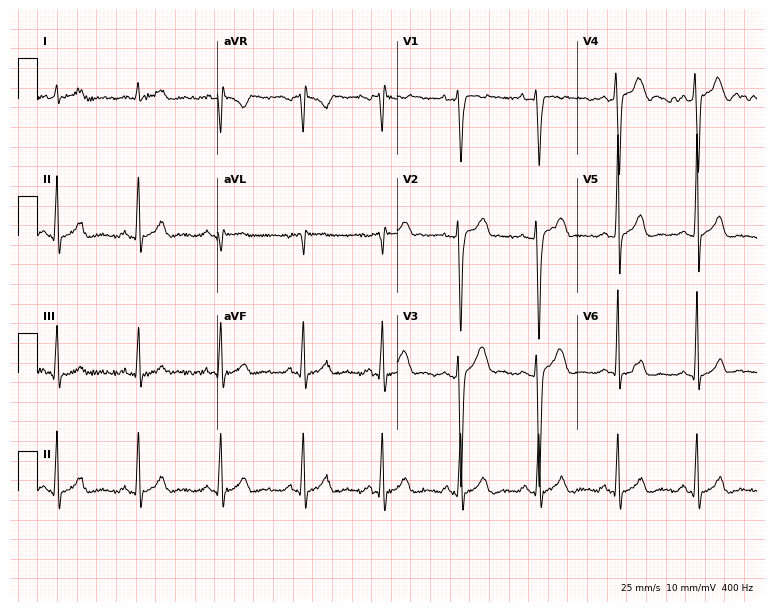
Electrocardiogram (7.3-second recording at 400 Hz), a 20-year-old male patient. Of the six screened findings (first-degree AV block, right bundle branch block, left bundle branch block, sinus bradycardia, atrial fibrillation, sinus tachycardia), none is recorded.